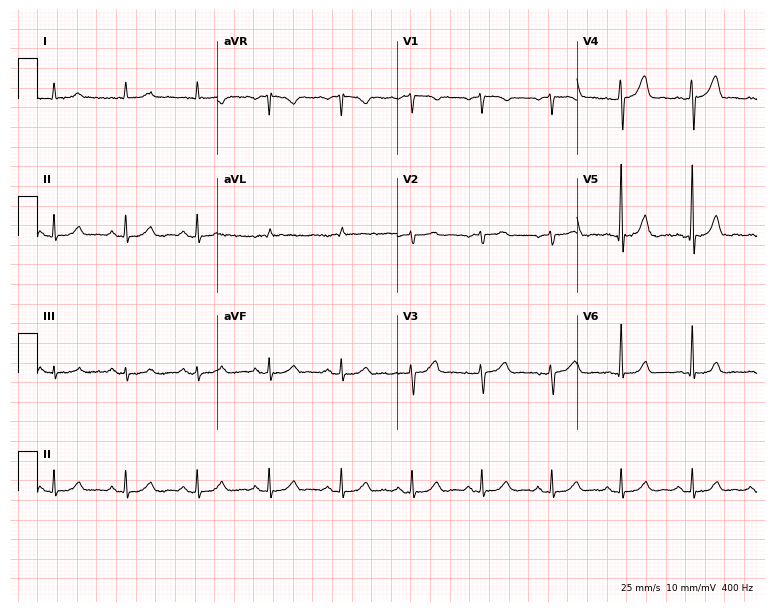
ECG (7.3-second recording at 400 Hz) — a 79-year-old male patient. Screened for six findings — first-degree AV block, right bundle branch block, left bundle branch block, sinus bradycardia, atrial fibrillation, sinus tachycardia — none is recorded. Only these six findings were labelled.